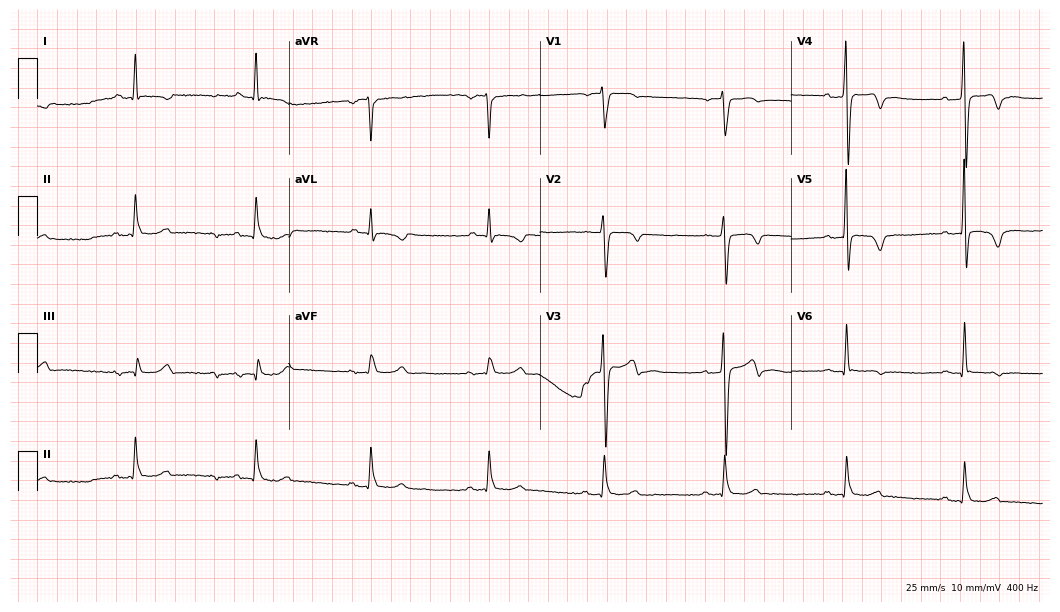
12-lead ECG (10.2-second recording at 400 Hz) from a 70-year-old man. Findings include sinus bradycardia (a sinus rate of 50 beats per minute or less).